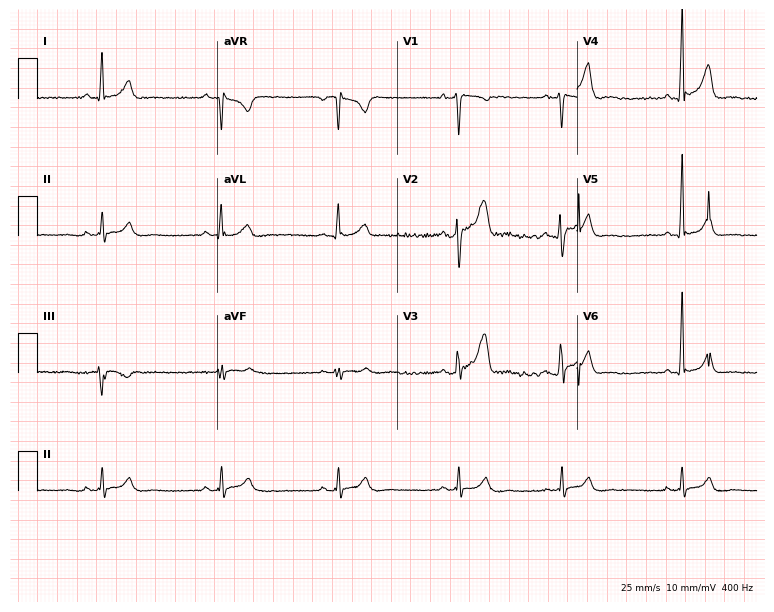
12-lead ECG from a 37-year-old male patient. Screened for six findings — first-degree AV block, right bundle branch block, left bundle branch block, sinus bradycardia, atrial fibrillation, sinus tachycardia — none is recorded.